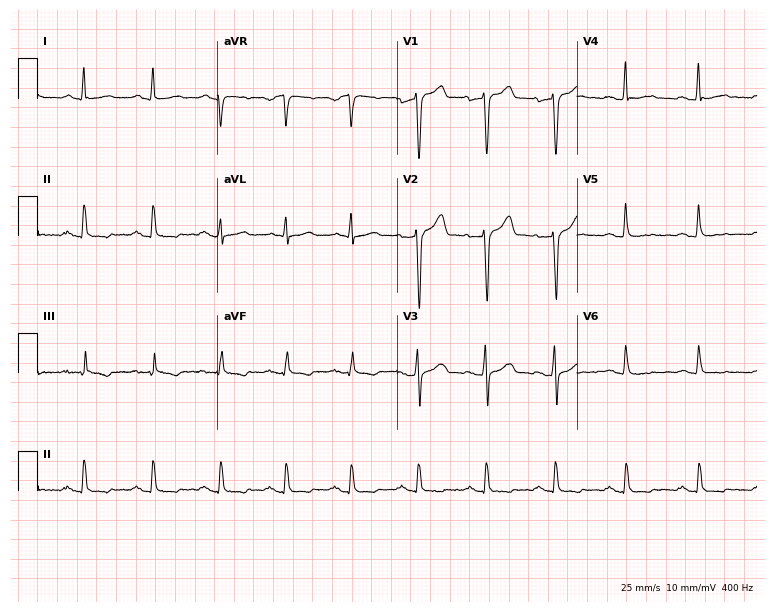
ECG — a 36-year-old male. Screened for six findings — first-degree AV block, right bundle branch block (RBBB), left bundle branch block (LBBB), sinus bradycardia, atrial fibrillation (AF), sinus tachycardia — none is recorded.